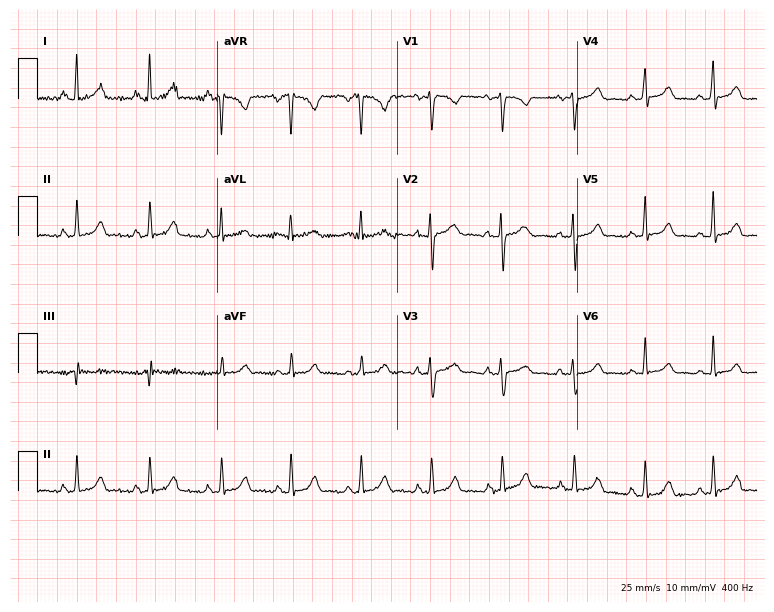
12-lead ECG from a female patient, 21 years old (7.3-second recording at 400 Hz). Recorded interpretation: within normal limits.